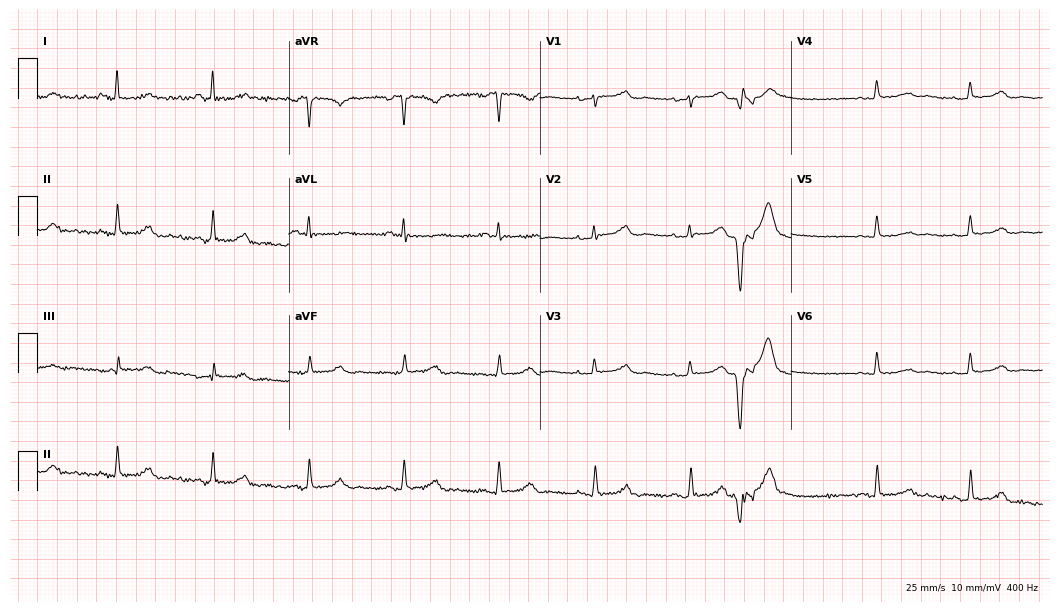
12-lead ECG from a 56-year-old woman (10.2-second recording at 400 Hz). No first-degree AV block, right bundle branch block (RBBB), left bundle branch block (LBBB), sinus bradycardia, atrial fibrillation (AF) or sinus tachycardia recorded for this tracing. Only these six findings were labelled.